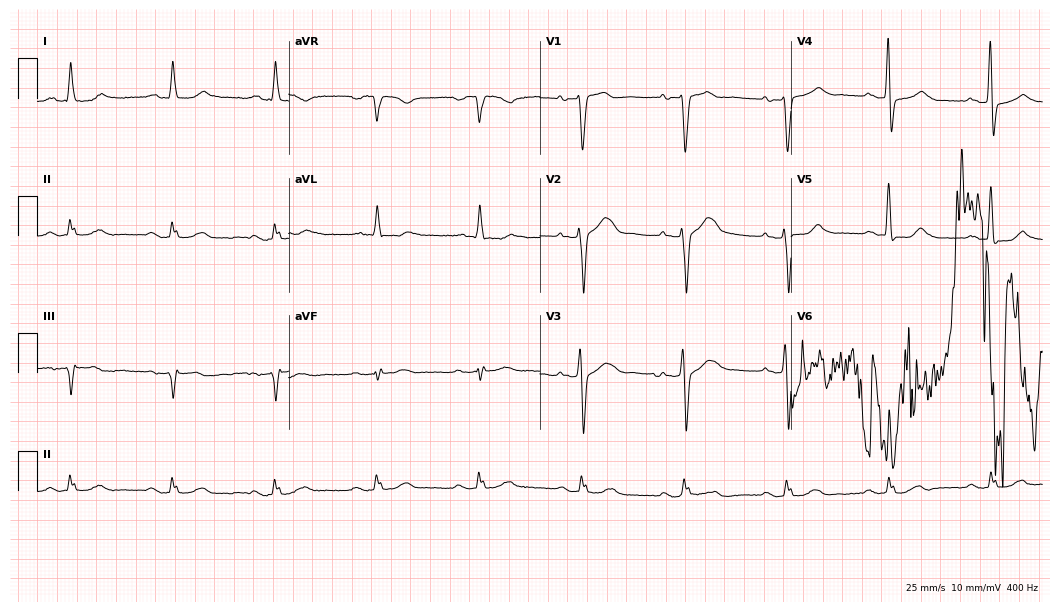
Electrocardiogram (10.2-second recording at 400 Hz), a male, 74 years old. Of the six screened findings (first-degree AV block, right bundle branch block, left bundle branch block, sinus bradycardia, atrial fibrillation, sinus tachycardia), none is recorded.